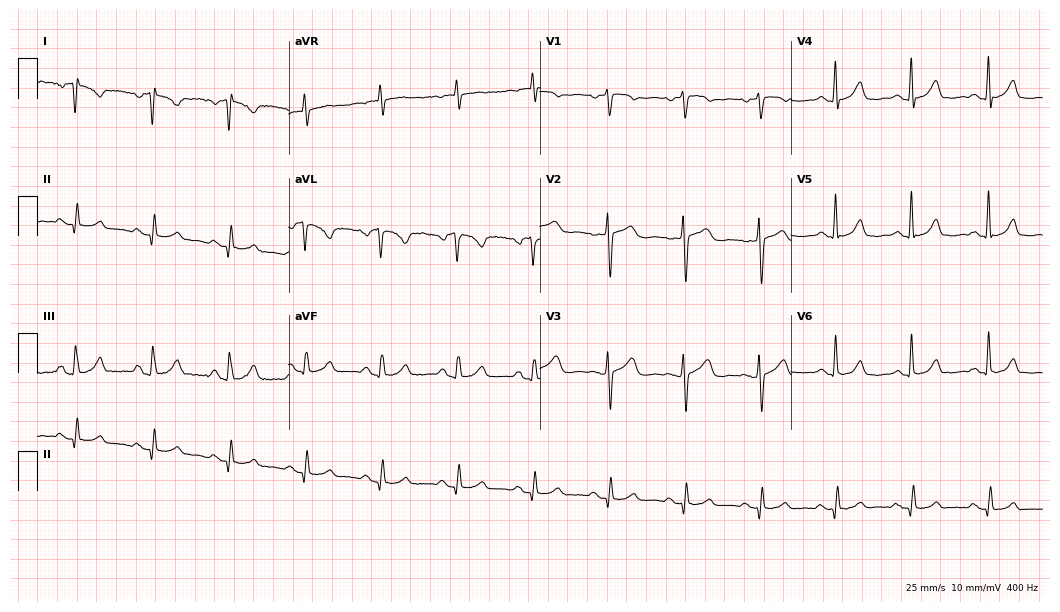
12-lead ECG from a 61-year-old woman. Labelled as a normal ECG.